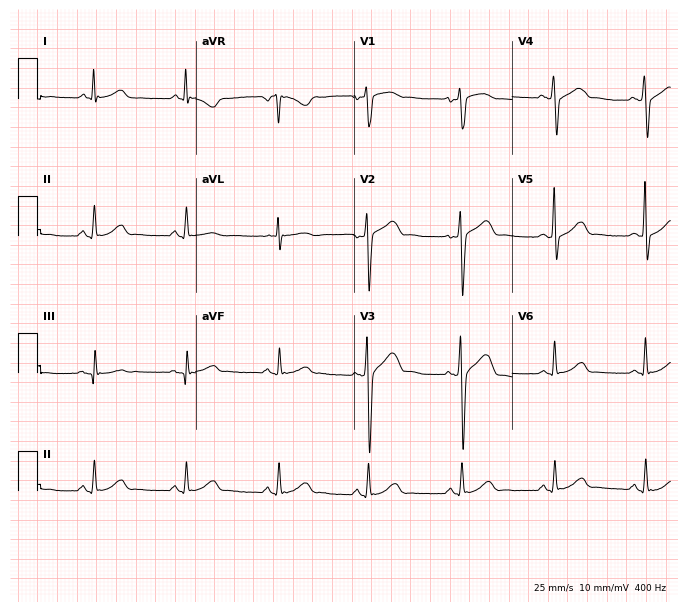
Resting 12-lead electrocardiogram (6.5-second recording at 400 Hz). Patient: a 37-year-old man. Read as a normal ECG.